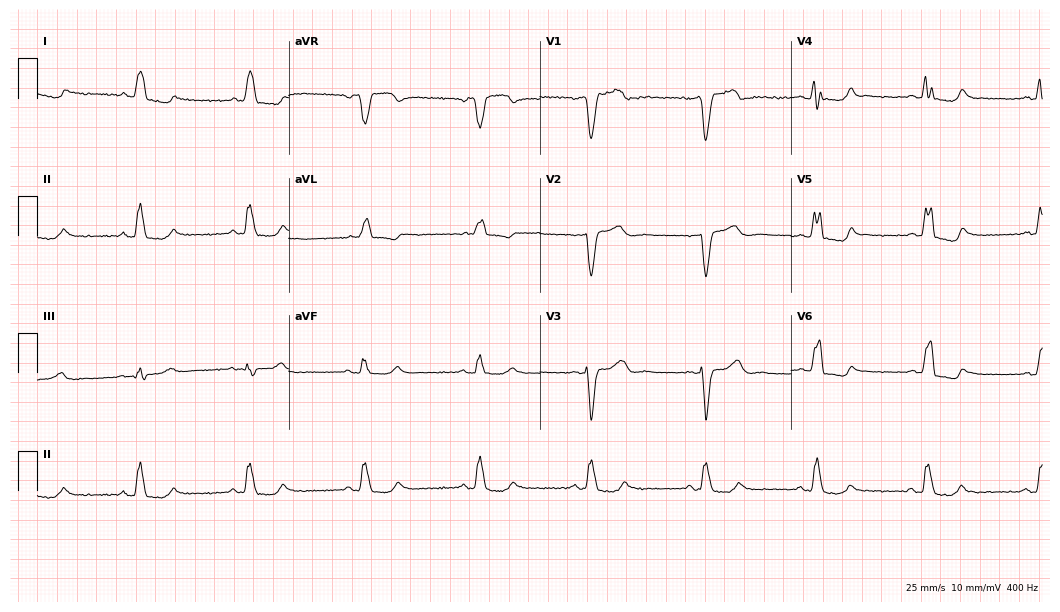
Electrocardiogram, a 65-year-old female patient. Interpretation includes left bundle branch block.